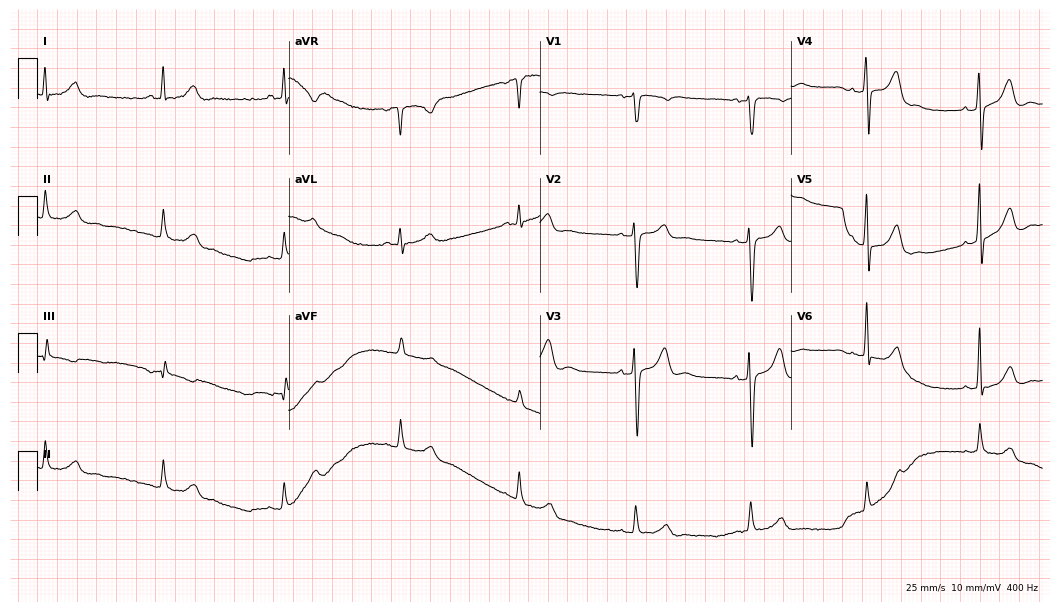
ECG — a 66-year-old male. Screened for six findings — first-degree AV block, right bundle branch block (RBBB), left bundle branch block (LBBB), sinus bradycardia, atrial fibrillation (AF), sinus tachycardia — none is recorded. Other findings, if any, are not listed.